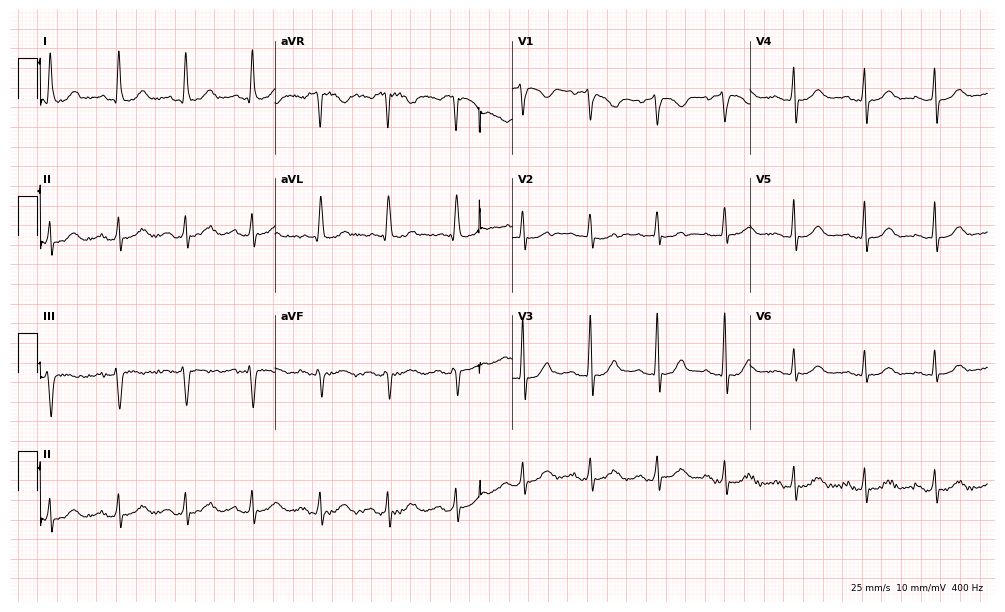
Standard 12-lead ECG recorded from a 77-year-old female patient (9.7-second recording at 400 Hz). Read as a normal ECG.